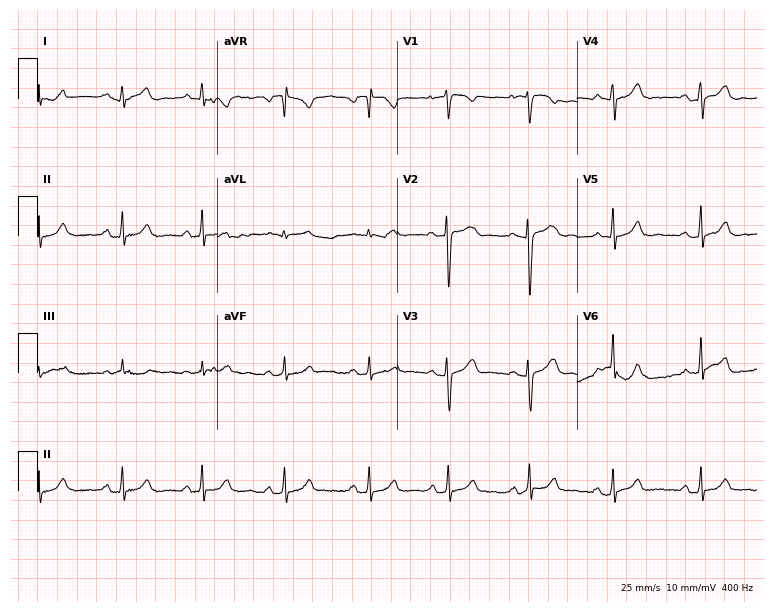
12-lead ECG from a 26-year-old female. Labelled as a normal ECG.